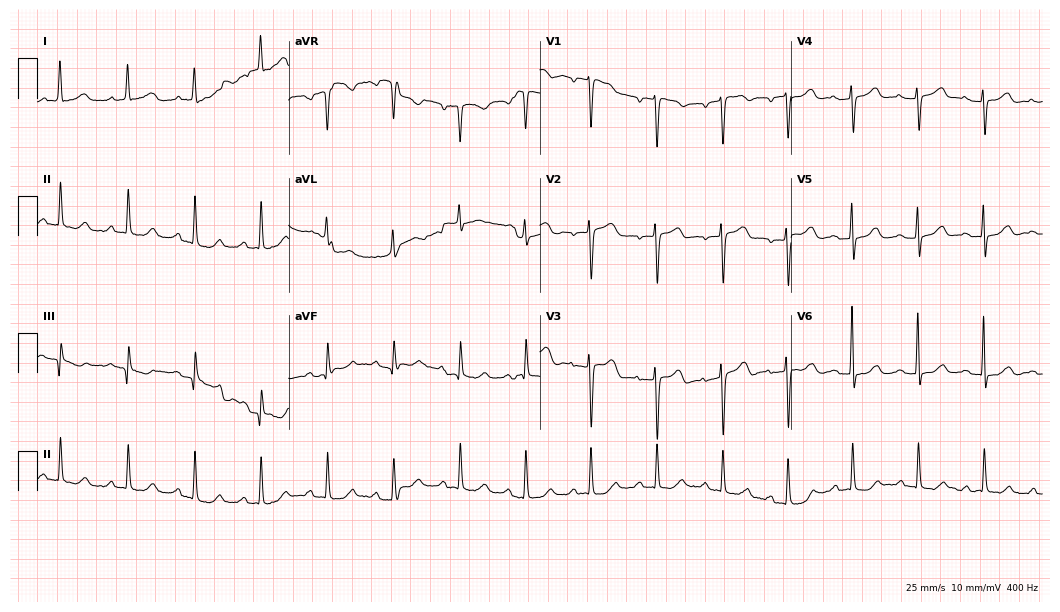
12-lead ECG from a 71-year-old female patient. Screened for six findings — first-degree AV block, right bundle branch block, left bundle branch block, sinus bradycardia, atrial fibrillation, sinus tachycardia — none is recorded. Only these six findings were labelled.